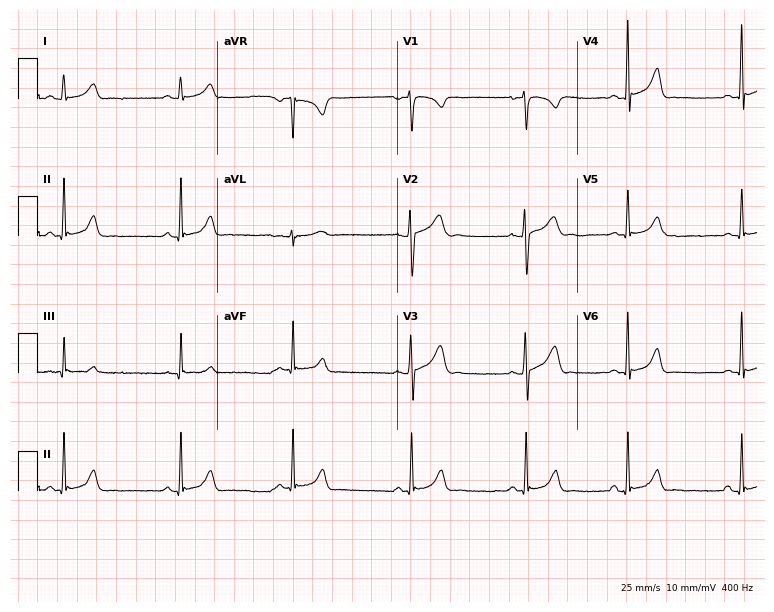
12-lead ECG from a woman, 24 years old. Labelled as a normal ECG.